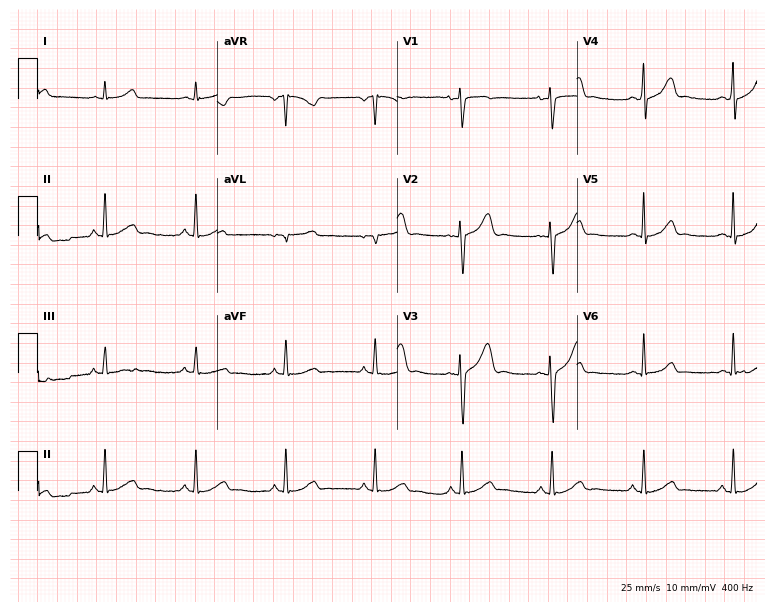
12-lead ECG from a 22-year-old woman. Labelled as a normal ECG.